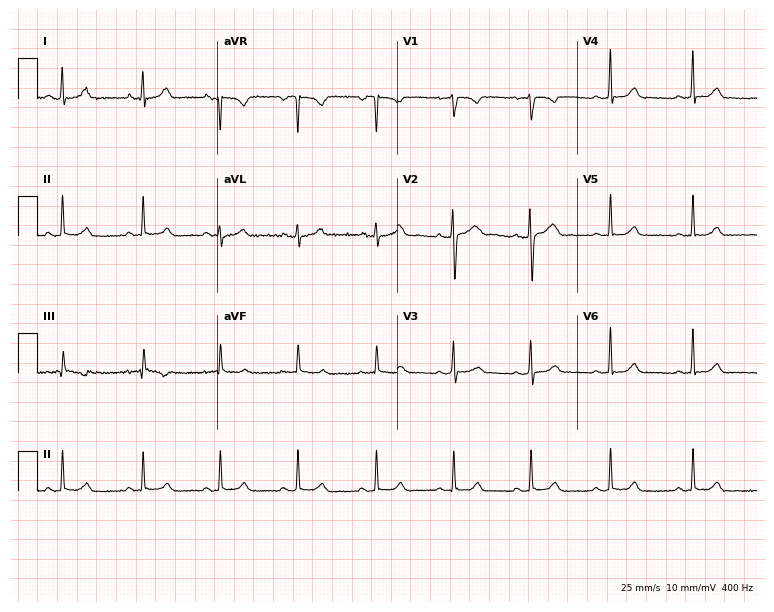
ECG (7.3-second recording at 400 Hz) — a woman, 33 years old. Screened for six findings — first-degree AV block, right bundle branch block, left bundle branch block, sinus bradycardia, atrial fibrillation, sinus tachycardia — none is recorded. Only these six findings were labelled.